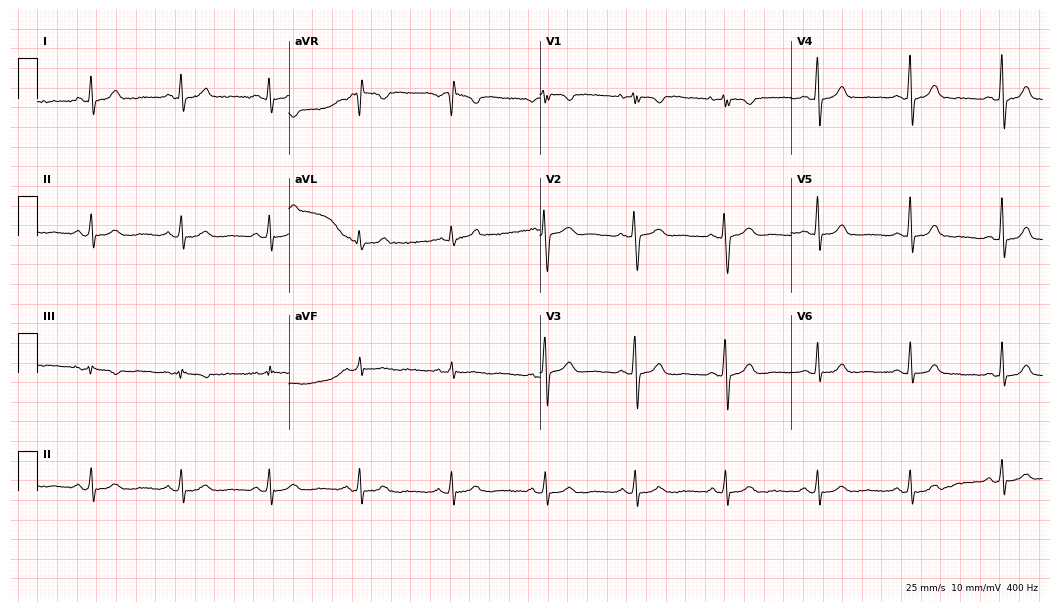
Resting 12-lead electrocardiogram. Patient: a 44-year-old female. Read as a normal ECG.